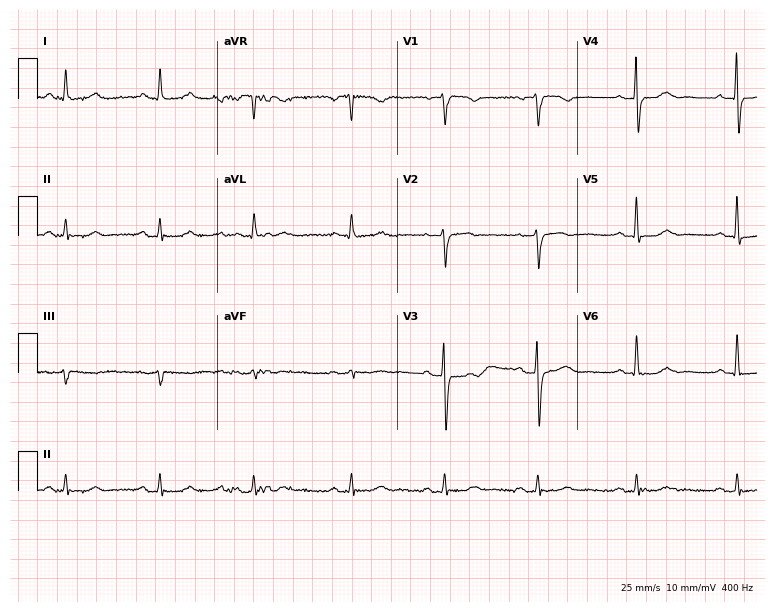
12-lead ECG from a female patient, 82 years old. No first-degree AV block, right bundle branch block, left bundle branch block, sinus bradycardia, atrial fibrillation or sinus tachycardia recorded for this tracing.